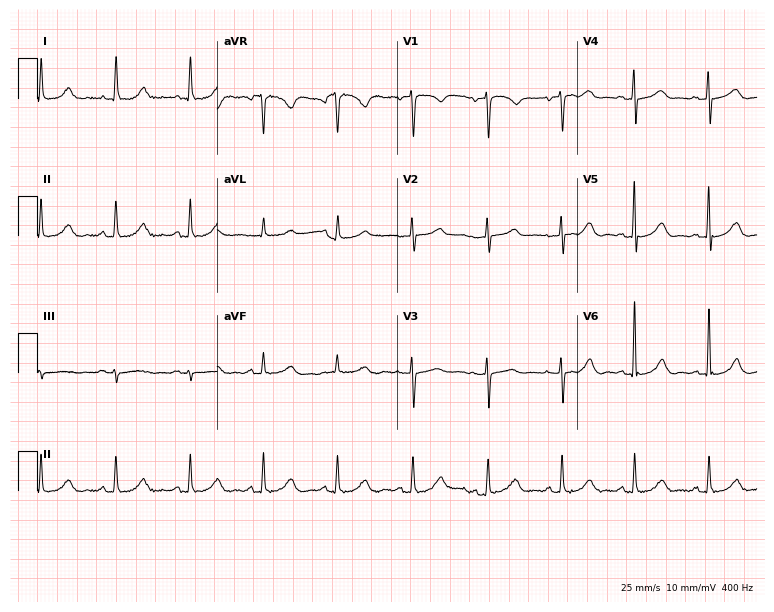
12-lead ECG from an 80-year-old woman. Labelled as a normal ECG.